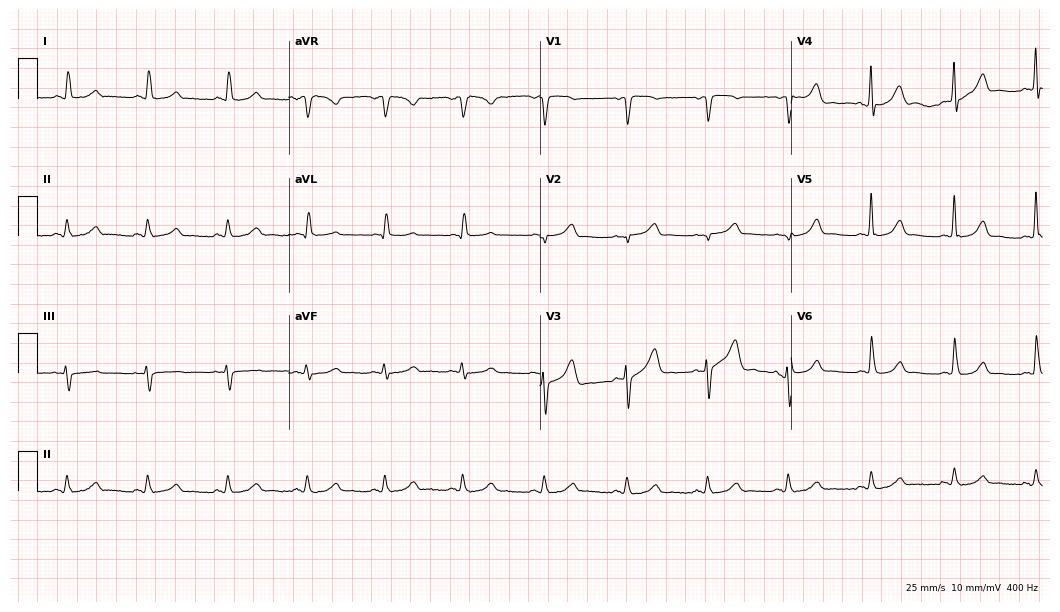
Standard 12-lead ECG recorded from a 60-year-old female patient. None of these six findings is recorded: first-degree AV block, right bundle branch block (RBBB), left bundle branch block (LBBB), sinus bradycardia, atrial fibrillation (AF), sinus tachycardia.